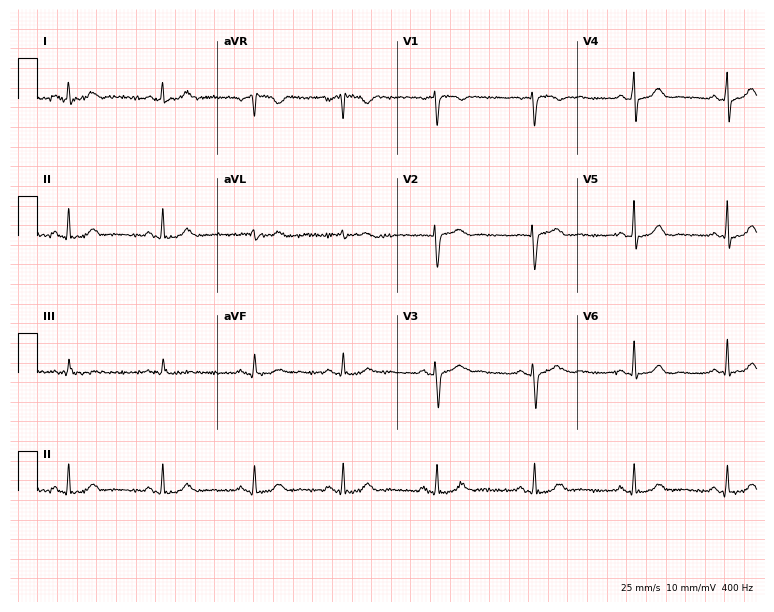
12-lead ECG from a woman, 29 years old. Recorded interpretation: within normal limits.